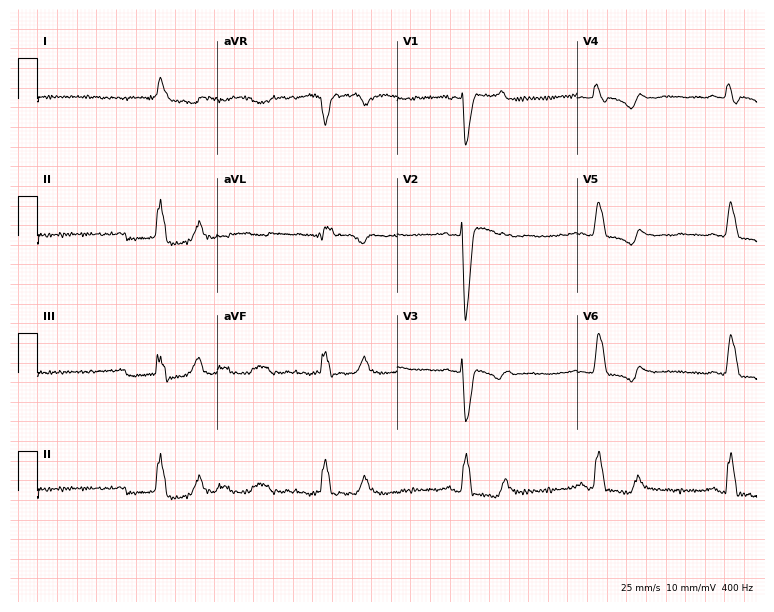
Electrocardiogram (7.3-second recording at 400 Hz), a female, 76 years old. Interpretation includes right bundle branch block, left bundle branch block, sinus bradycardia (a sinus rate of 50 beats per minute or less).